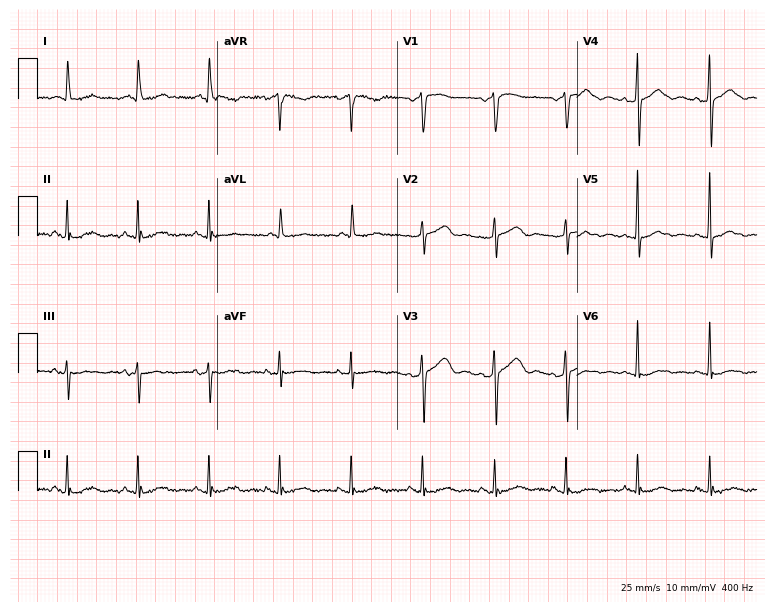
Standard 12-lead ECG recorded from a woman, 61 years old. None of these six findings is recorded: first-degree AV block, right bundle branch block, left bundle branch block, sinus bradycardia, atrial fibrillation, sinus tachycardia. Other findings, if any, are not listed.